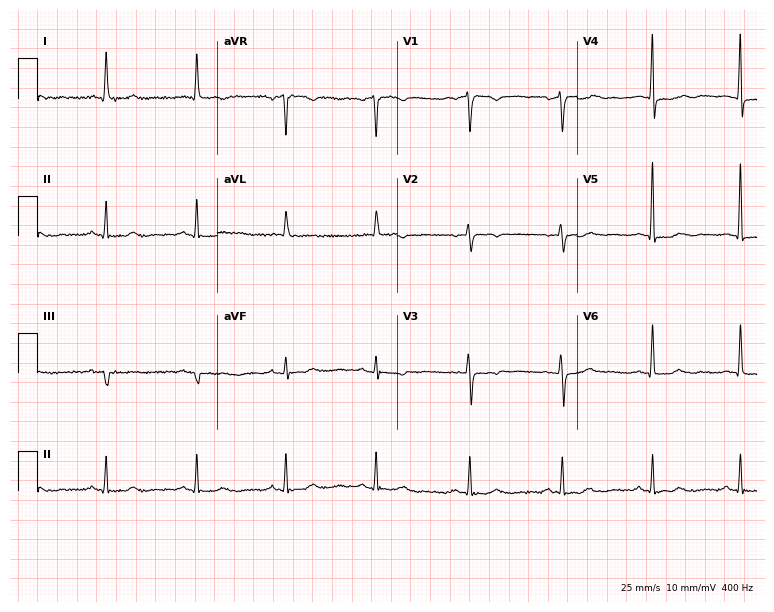
Standard 12-lead ECG recorded from a 65-year-old female patient (7.3-second recording at 400 Hz). None of these six findings is recorded: first-degree AV block, right bundle branch block, left bundle branch block, sinus bradycardia, atrial fibrillation, sinus tachycardia.